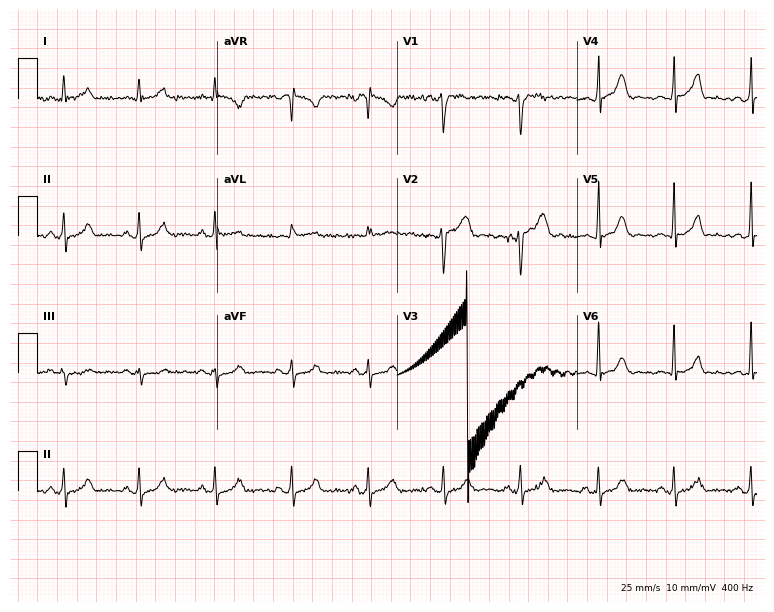
12-lead ECG from a 22-year-old male. Recorded interpretation: within normal limits.